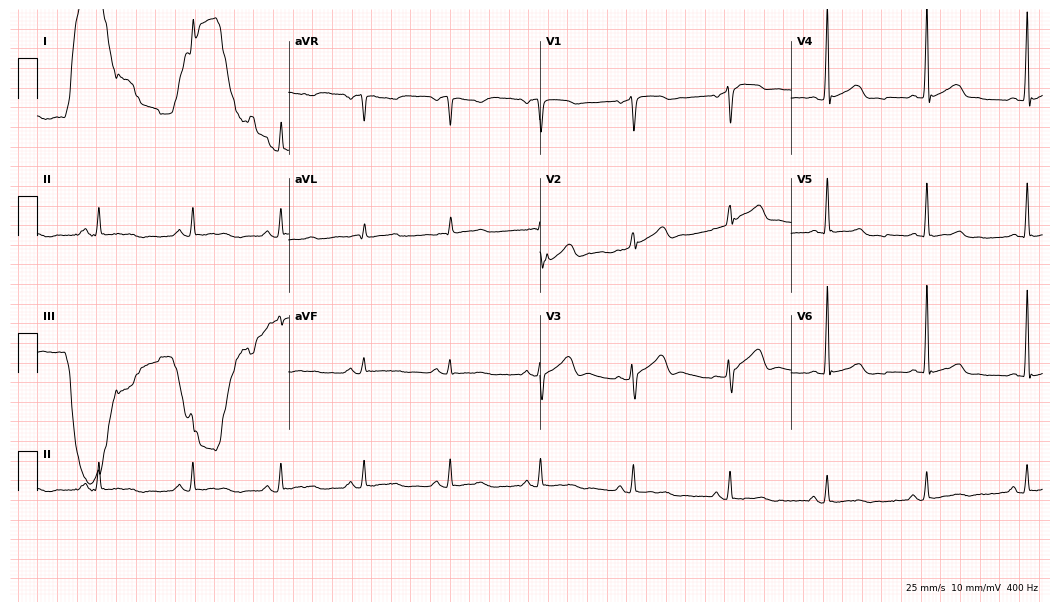
ECG — a 62-year-old male. Screened for six findings — first-degree AV block, right bundle branch block (RBBB), left bundle branch block (LBBB), sinus bradycardia, atrial fibrillation (AF), sinus tachycardia — none is recorded. Findings outside these six are not listed.